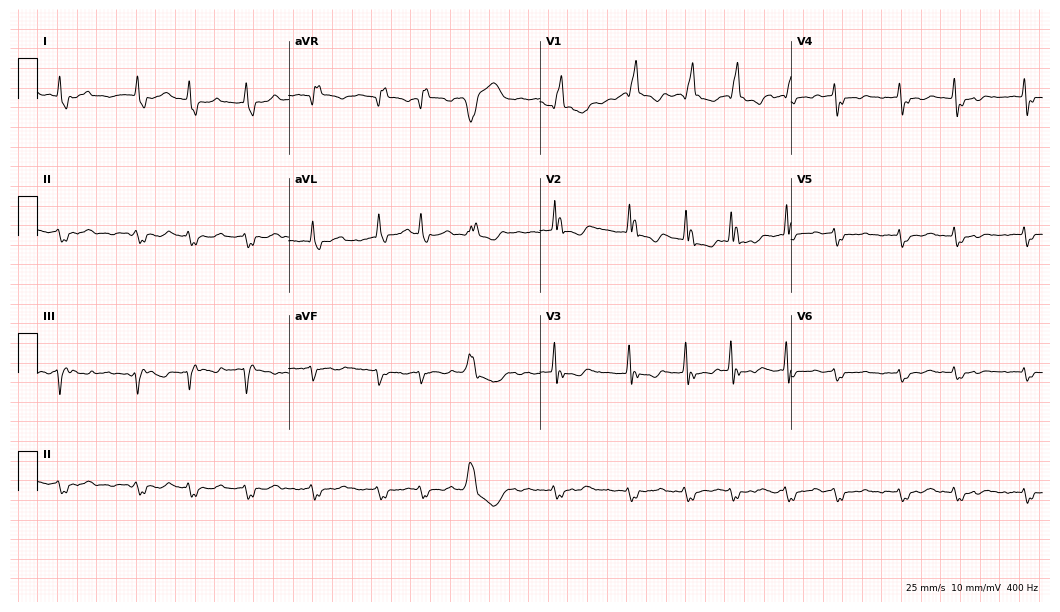
Electrocardiogram, an 82-year-old female patient. Interpretation includes right bundle branch block (RBBB), atrial fibrillation (AF).